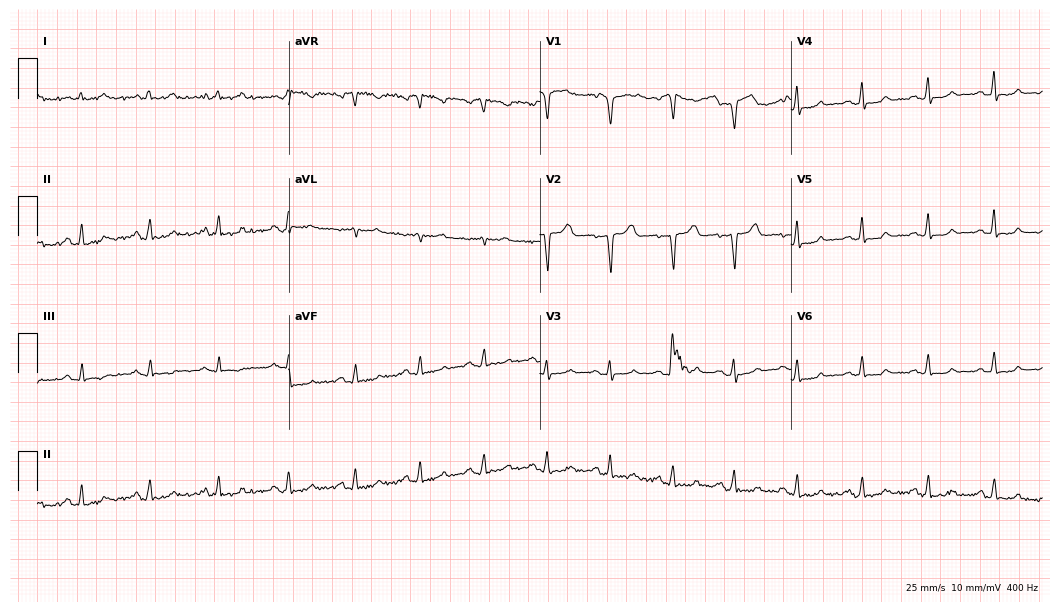
Standard 12-lead ECG recorded from a 37-year-old female (10.2-second recording at 400 Hz). None of these six findings is recorded: first-degree AV block, right bundle branch block (RBBB), left bundle branch block (LBBB), sinus bradycardia, atrial fibrillation (AF), sinus tachycardia.